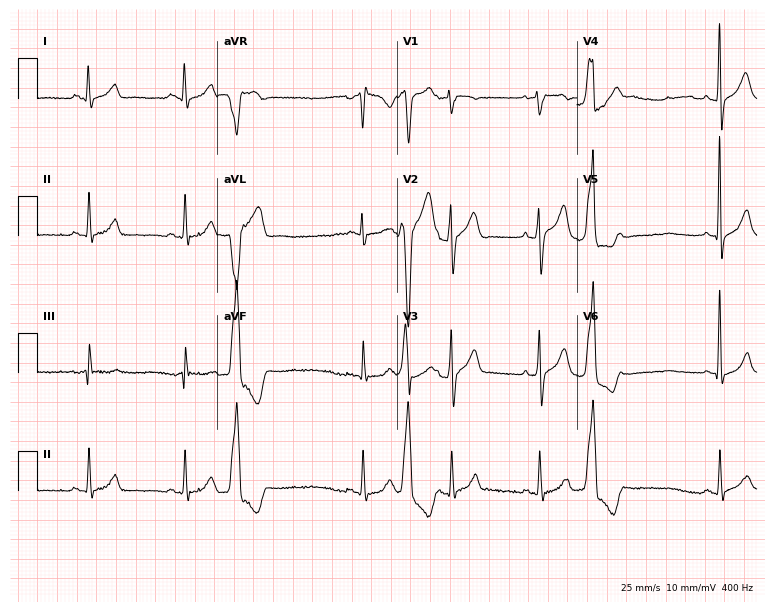
Resting 12-lead electrocardiogram. Patient: a 48-year-old male. None of these six findings is recorded: first-degree AV block, right bundle branch block, left bundle branch block, sinus bradycardia, atrial fibrillation, sinus tachycardia.